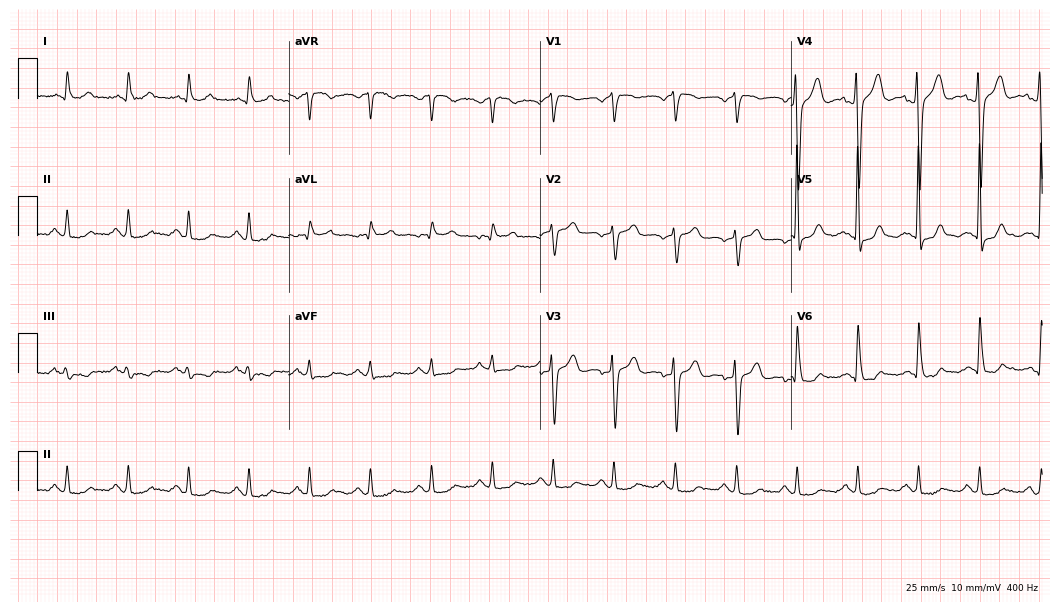
12-lead ECG from a 59-year-old male. Screened for six findings — first-degree AV block, right bundle branch block, left bundle branch block, sinus bradycardia, atrial fibrillation, sinus tachycardia — none is recorded. Findings outside these six are not listed.